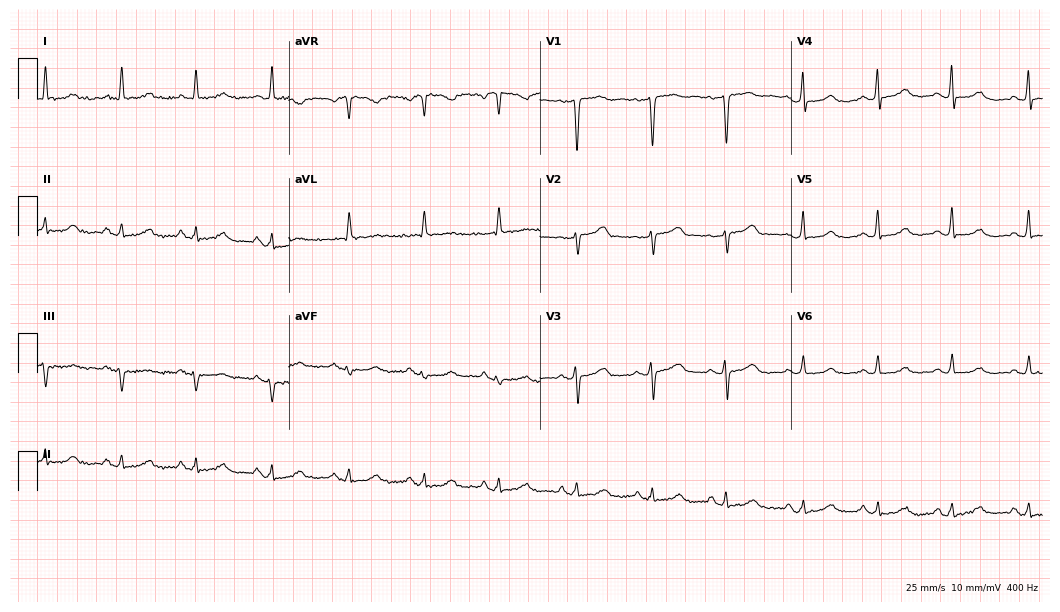
Resting 12-lead electrocardiogram. Patient: a 50-year-old female. Read as a normal ECG.